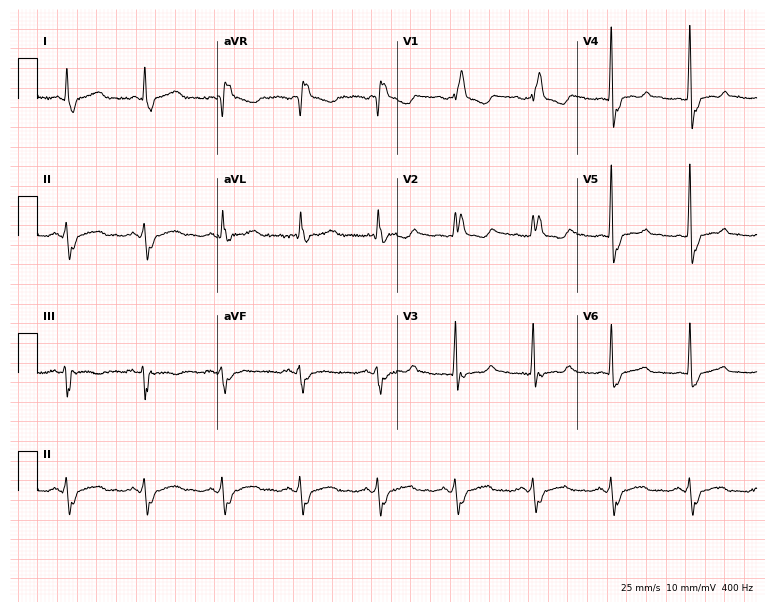
ECG — a 56-year-old female. Findings include right bundle branch block (RBBB).